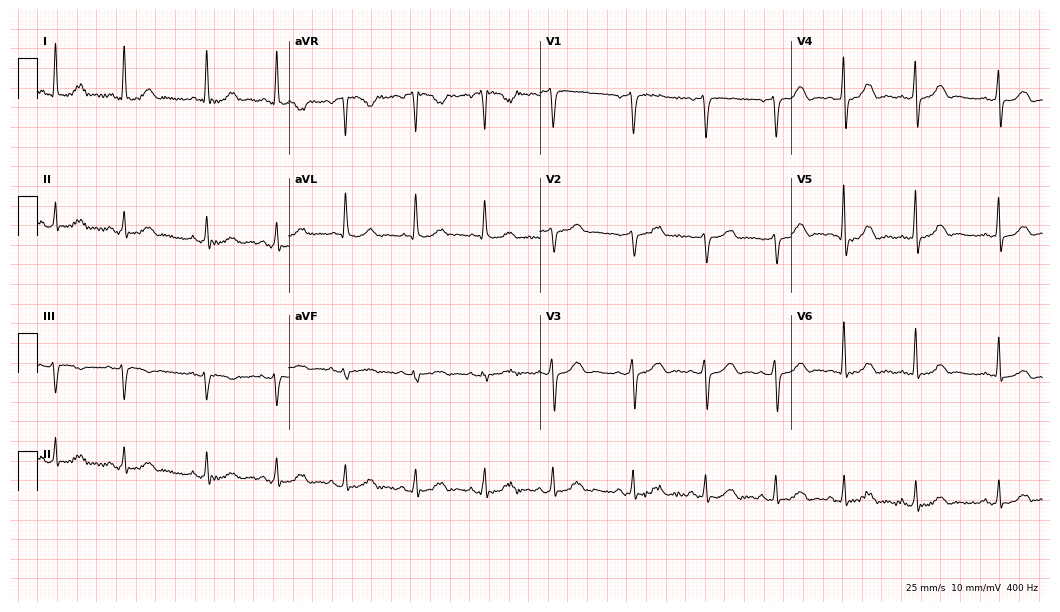
12-lead ECG from a woman, 59 years old (10.2-second recording at 400 Hz). Recorded interpretation: within normal limits.